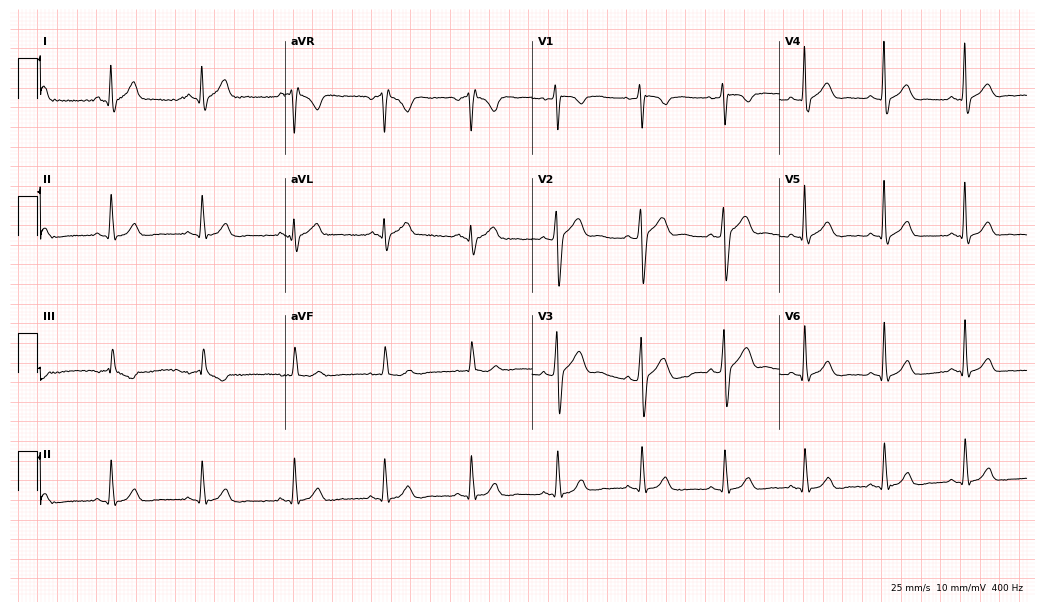
Electrocardiogram (10.1-second recording at 400 Hz), a 40-year-old male patient. Of the six screened findings (first-degree AV block, right bundle branch block (RBBB), left bundle branch block (LBBB), sinus bradycardia, atrial fibrillation (AF), sinus tachycardia), none is recorded. Other findings, if any, are not listed.